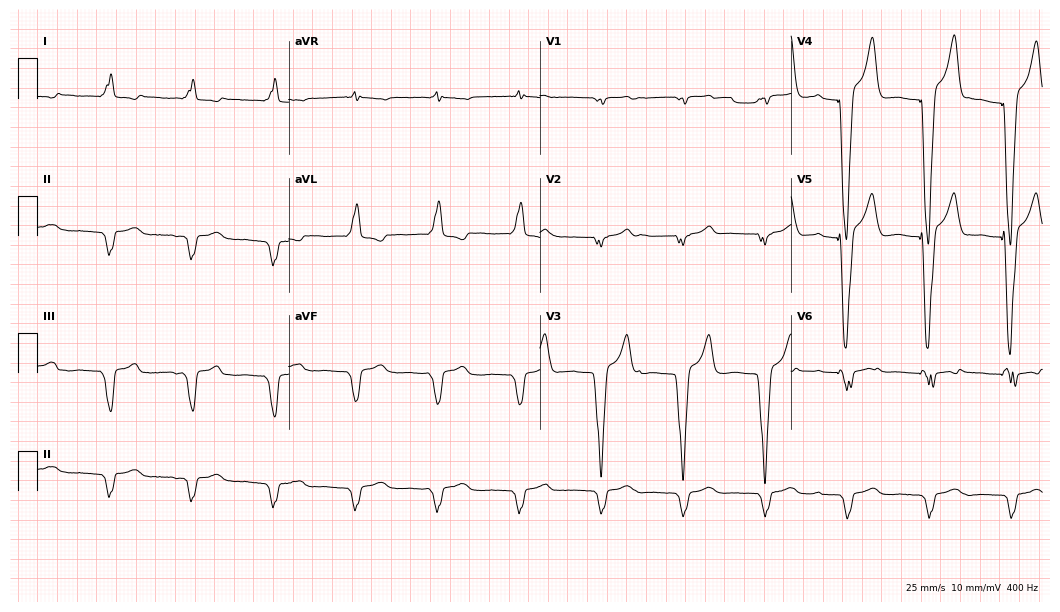
12-lead ECG from a 62-year-old man. Screened for six findings — first-degree AV block, right bundle branch block (RBBB), left bundle branch block (LBBB), sinus bradycardia, atrial fibrillation (AF), sinus tachycardia — none is recorded. Other findings, if any, are not listed.